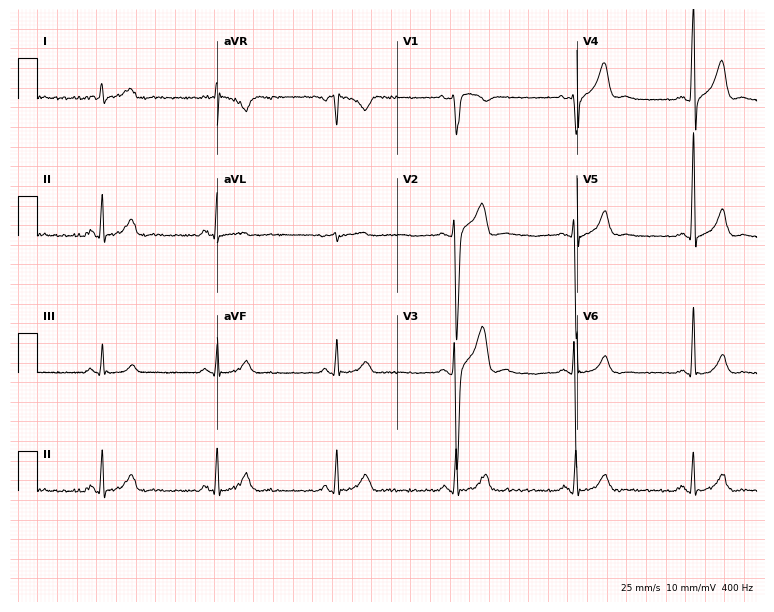
12-lead ECG from a 35-year-old male (7.3-second recording at 400 Hz). Shows sinus bradycardia (a sinus rate of 50 beats per minute or less).